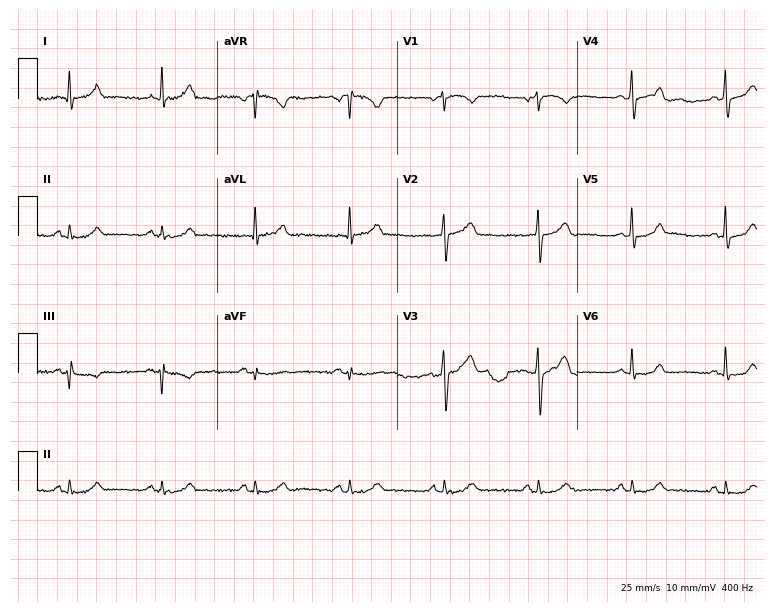
Electrocardiogram (7.3-second recording at 400 Hz), a 57-year-old man. Overall reading on record: normal ECG.